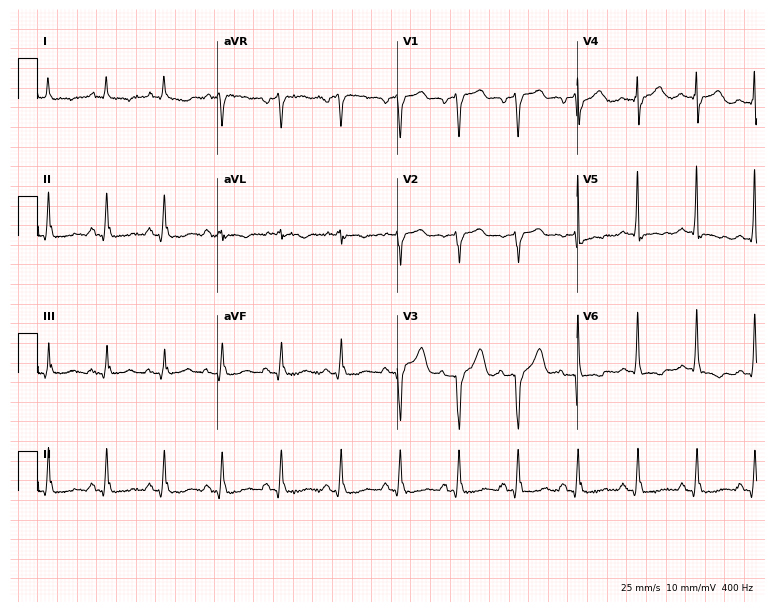
12-lead ECG from a 49-year-old male patient. Findings include sinus tachycardia (a sinus rate of 100 beats per minute or more).